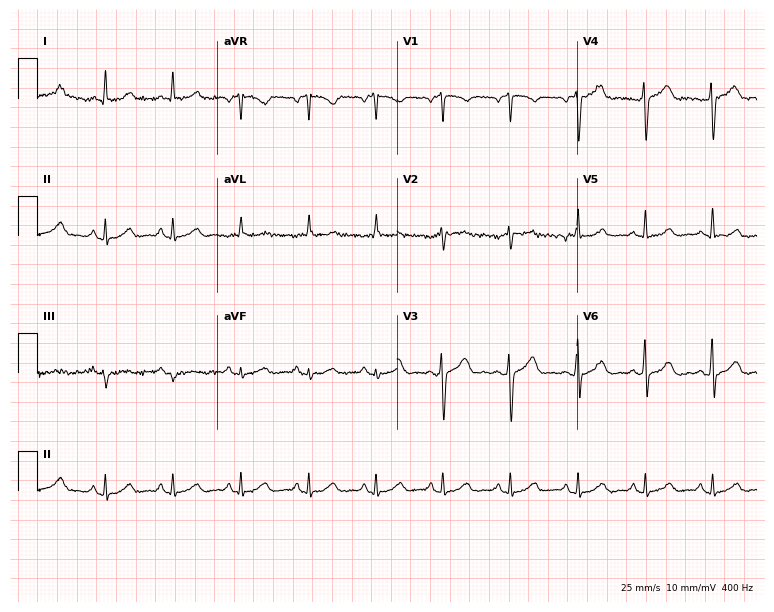
ECG (7.3-second recording at 400 Hz) — a female patient, 48 years old. Labelled as a normal ECG.